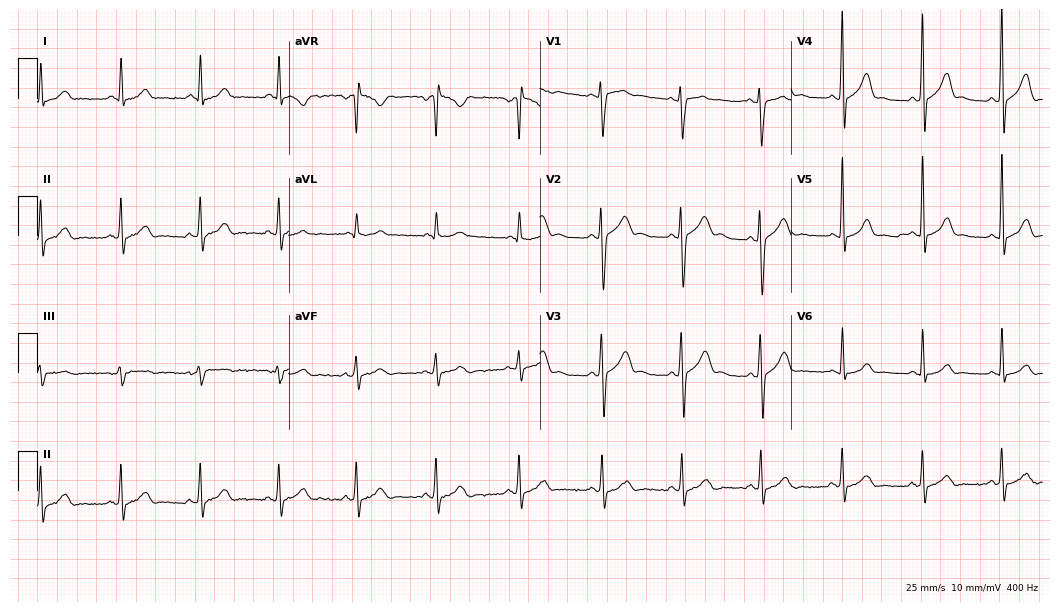
12-lead ECG from a 31-year-old woman. Labelled as a normal ECG.